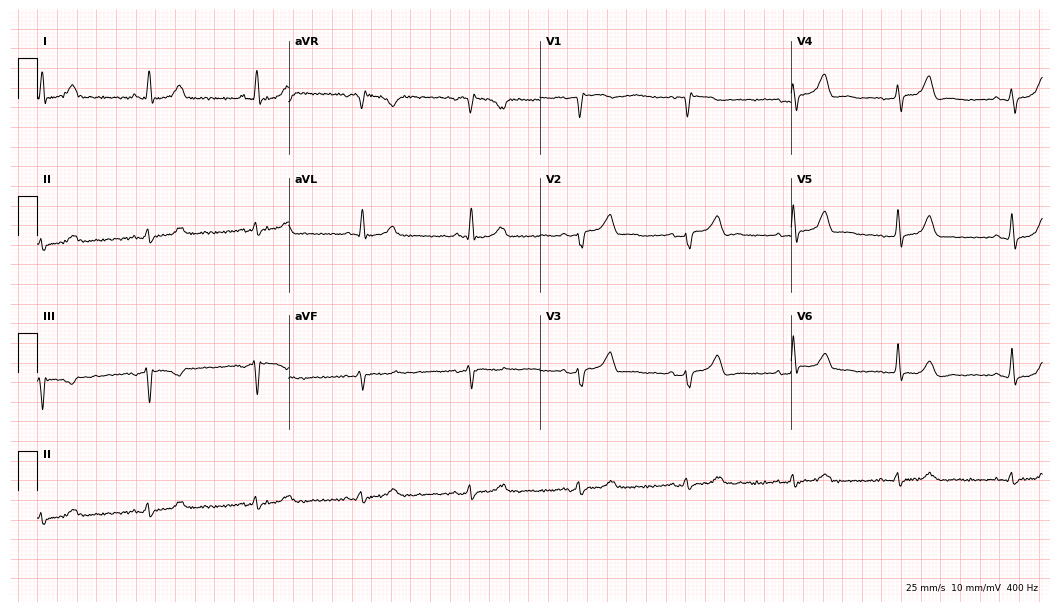
12-lead ECG from a female, 84 years old. Labelled as a normal ECG.